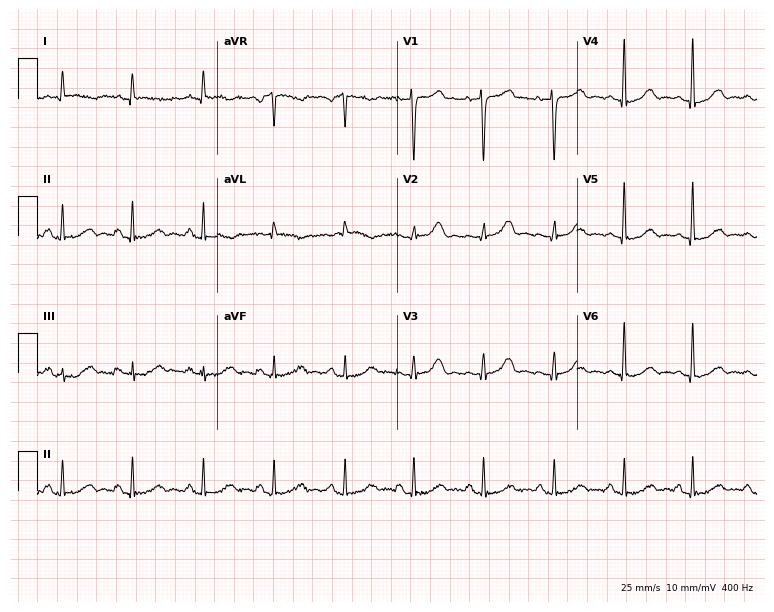
12-lead ECG from a 77-year-old woman. Labelled as a normal ECG.